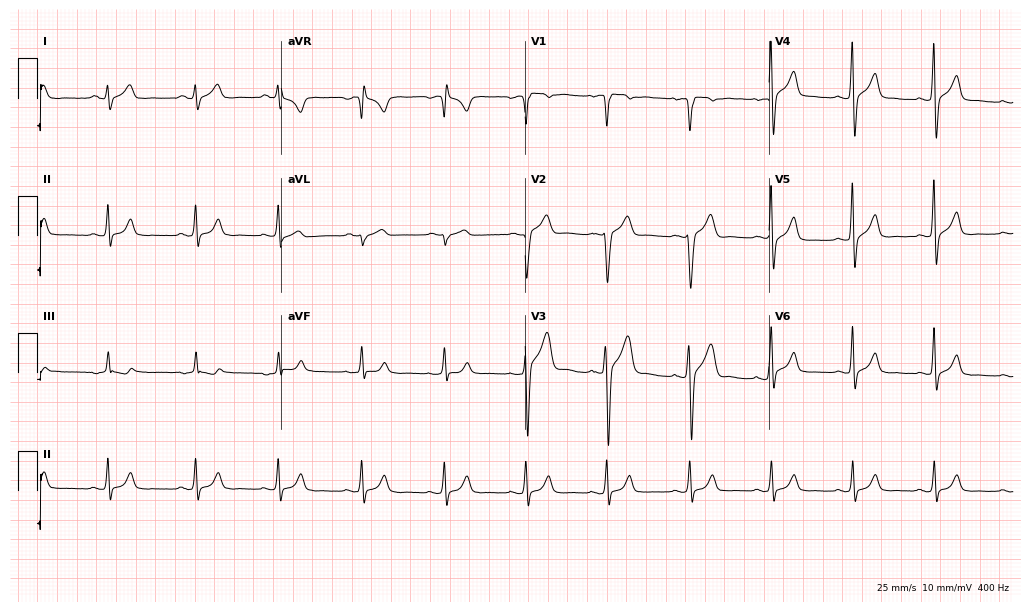
Electrocardiogram, a 29-year-old male patient. Overall reading on record: normal ECG.